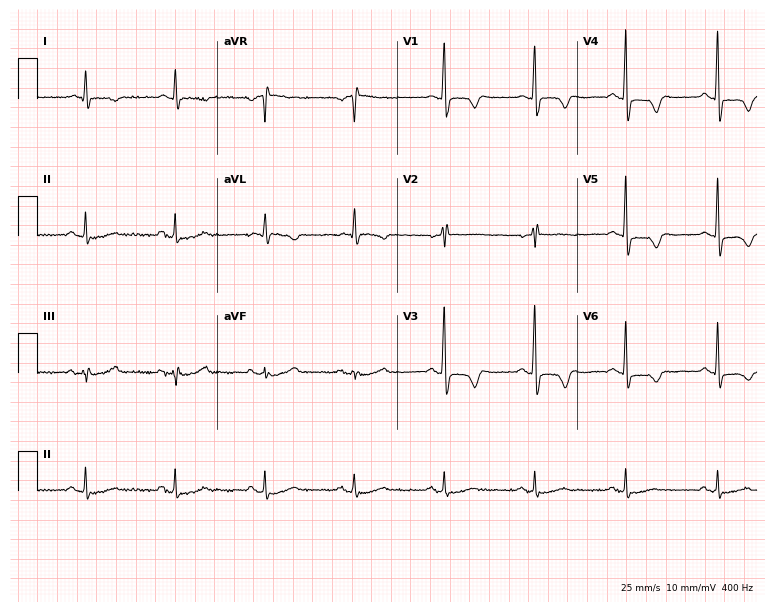
Standard 12-lead ECG recorded from a male patient, 66 years old (7.3-second recording at 400 Hz). None of these six findings is recorded: first-degree AV block, right bundle branch block, left bundle branch block, sinus bradycardia, atrial fibrillation, sinus tachycardia. Only these six findings were labelled.